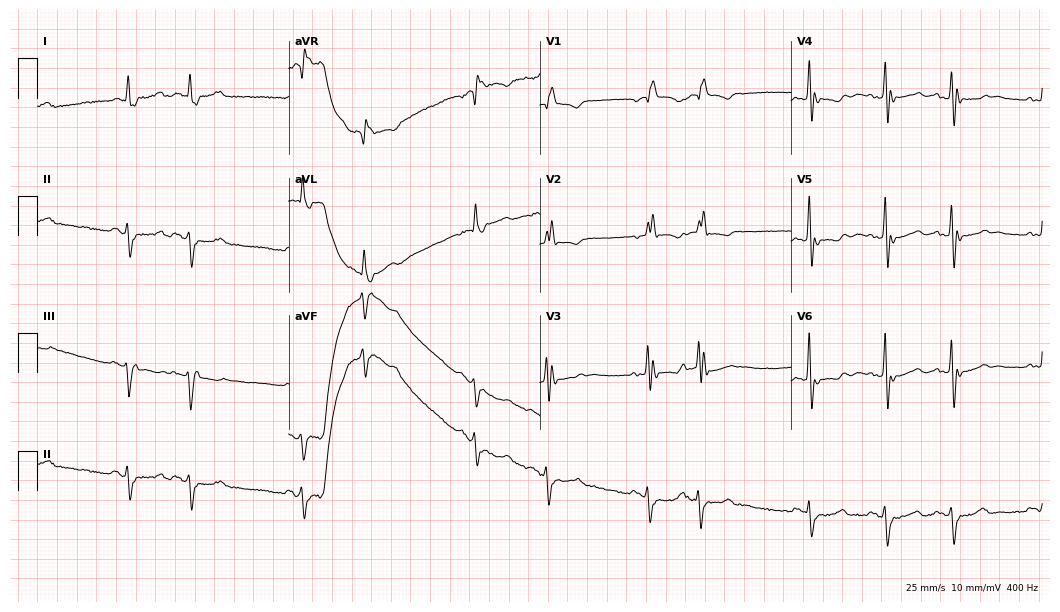
Electrocardiogram (10.2-second recording at 400 Hz), an 81-year-old female patient. Interpretation includes right bundle branch block (RBBB).